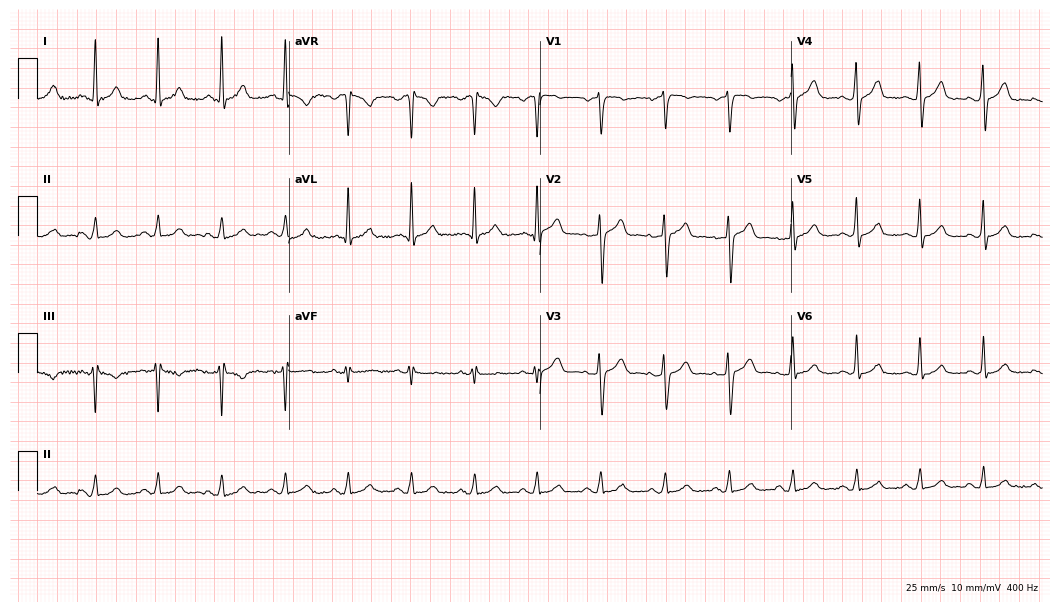
12-lead ECG from a male, 29 years old (10.2-second recording at 400 Hz). Recorded interpretation: within normal limits.